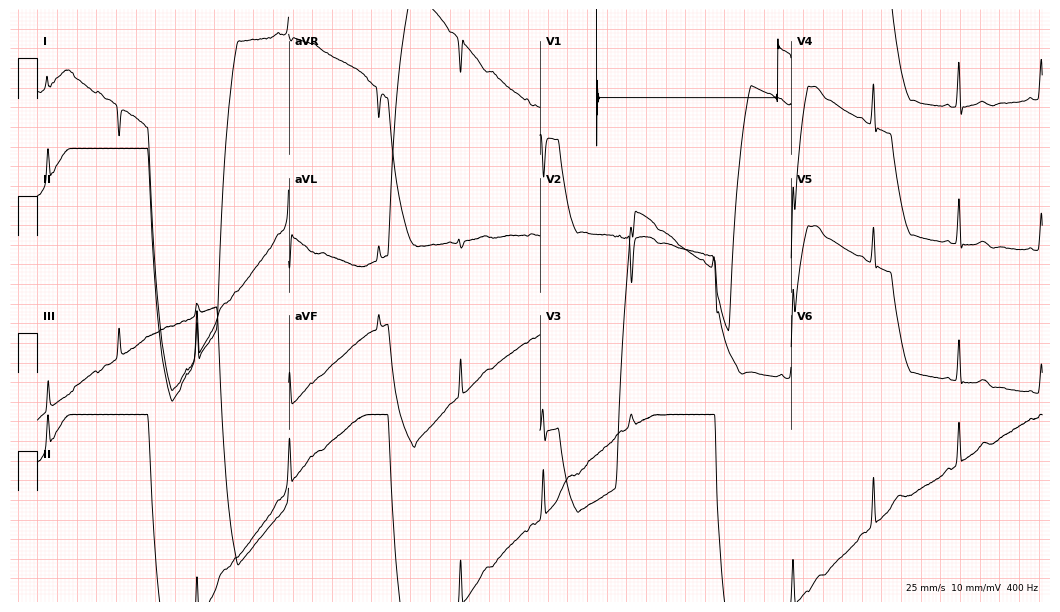
Resting 12-lead electrocardiogram. Patient: a 35-year-old female. None of these six findings is recorded: first-degree AV block, right bundle branch block, left bundle branch block, sinus bradycardia, atrial fibrillation, sinus tachycardia.